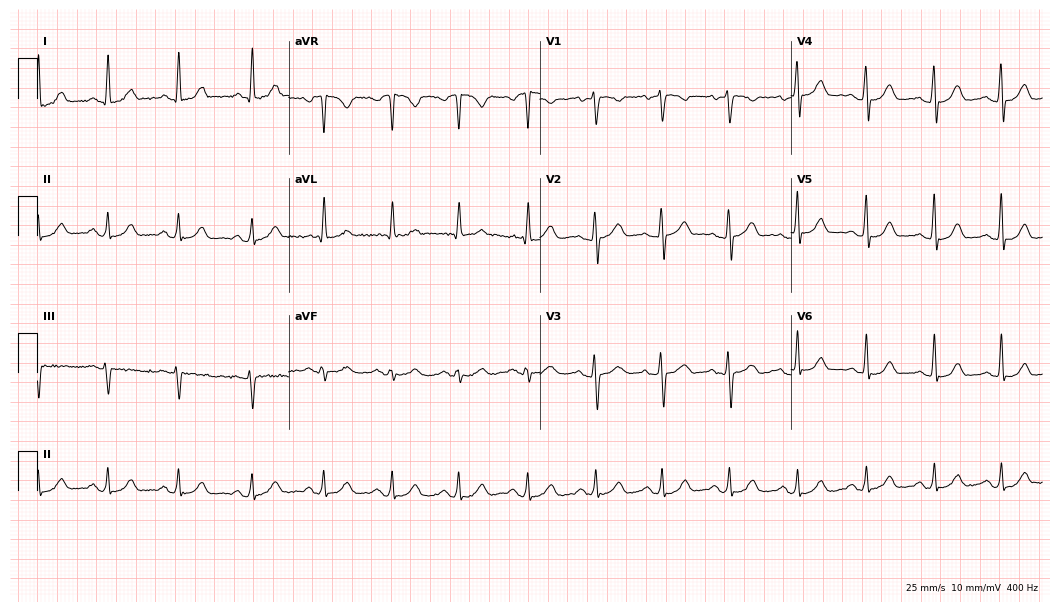
Standard 12-lead ECG recorded from a female patient, 58 years old. Read as a normal ECG.